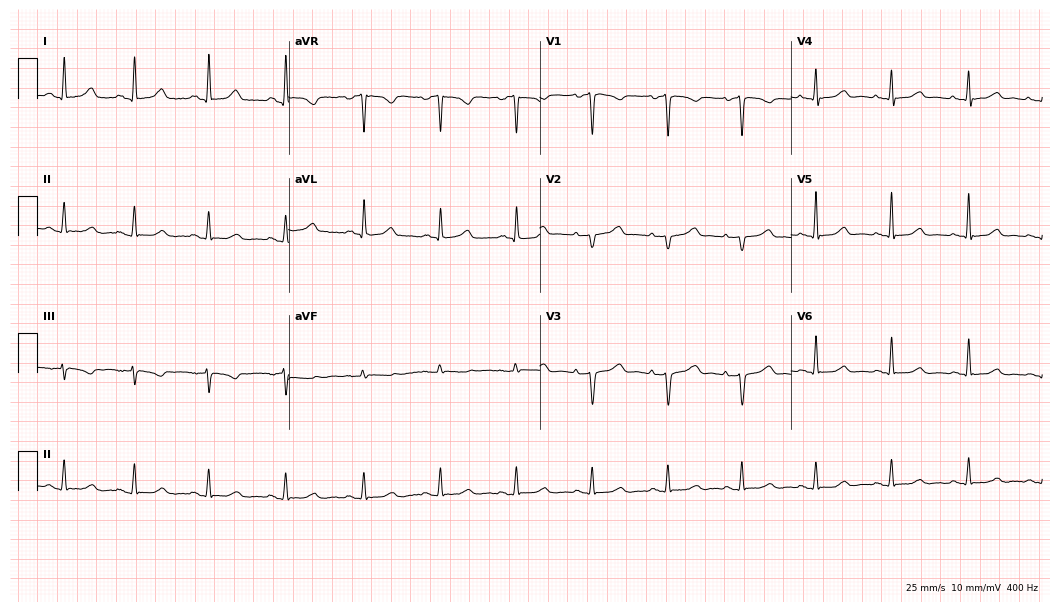
12-lead ECG from a 43-year-old female patient (10.2-second recording at 400 Hz). Recorded interpretation: within normal limits.